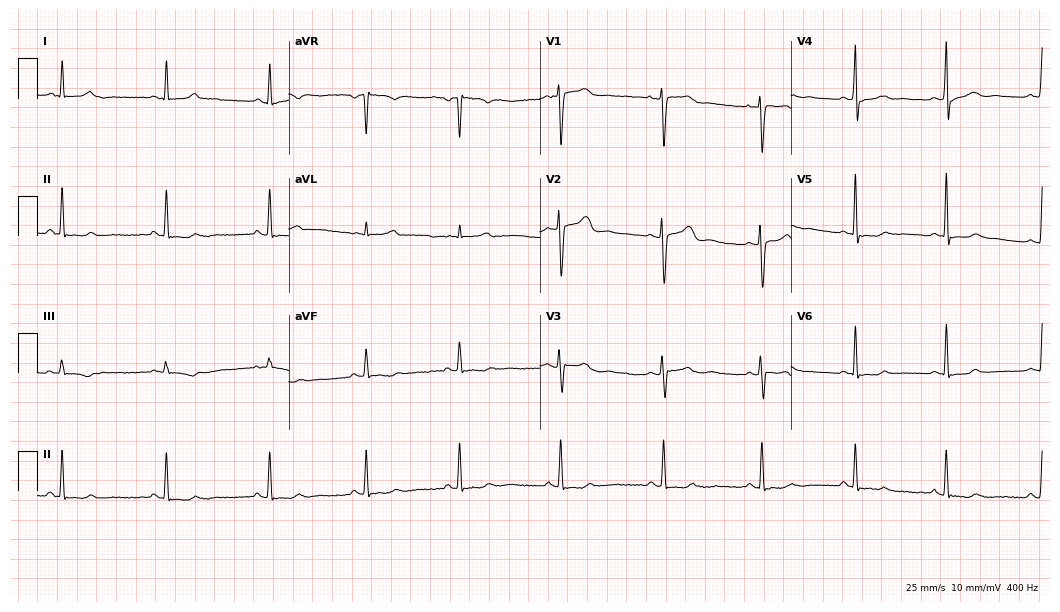
Electrocardiogram, a female, 36 years old. Of the six screened findings (first-degree AV block, right bundle branch block, left bundle branch block, sinus bradycardia, atrial fibrillation, sinus tachycardia), none is recorded.